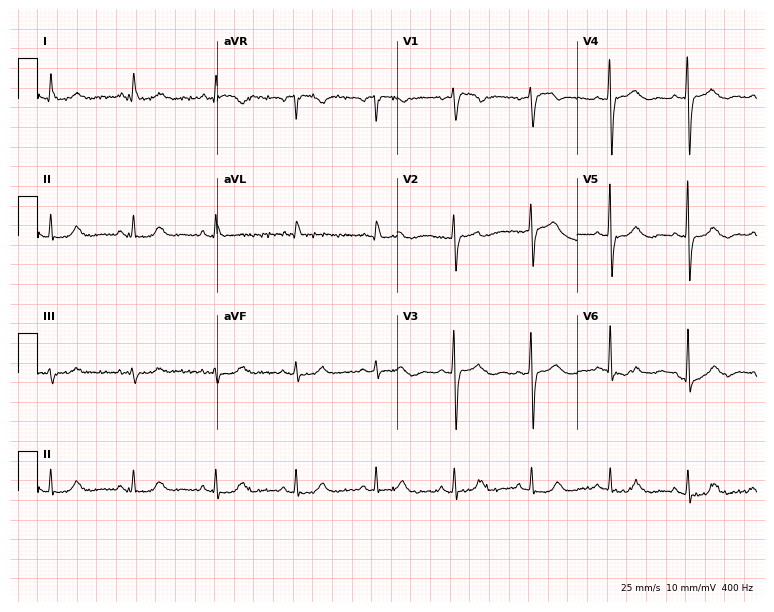
12-lead ECG from a 71-year-old woman. No first-degree AV block, right bundle branch block (RBBB), left bundle branch block (LBBB), sinus bradycardia, atrial fibrillation (AF) or sinus tachycardia recorded for this tracing.